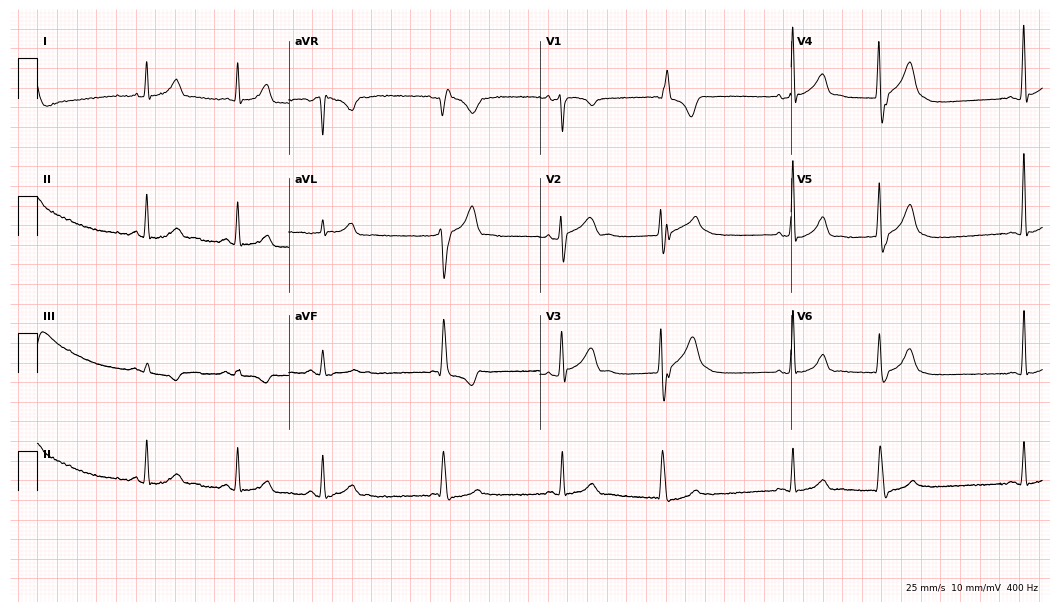
Standard 12-lead ECG recorded from a male, 42 years old. None of these six findings is recorded: first-degree AV block, right bundle branch block, left bundle branch block, sinus bradycardia, atrial fibrillation, sinus tachycardia. Findings outside these six are not listed.